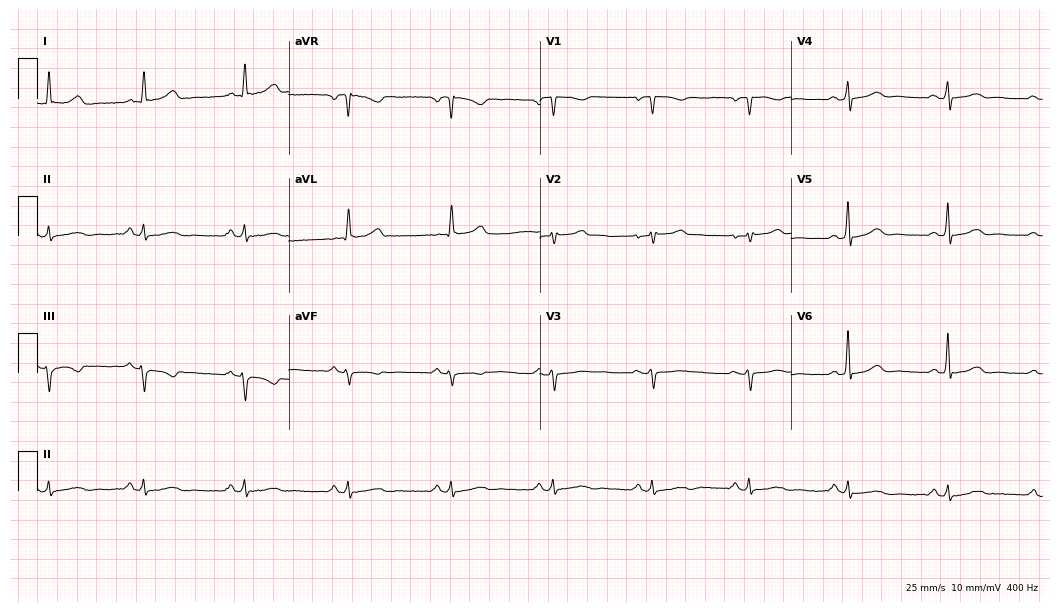
12-lead ECG from a female, 62 years old. Labelled as a normal ECG.